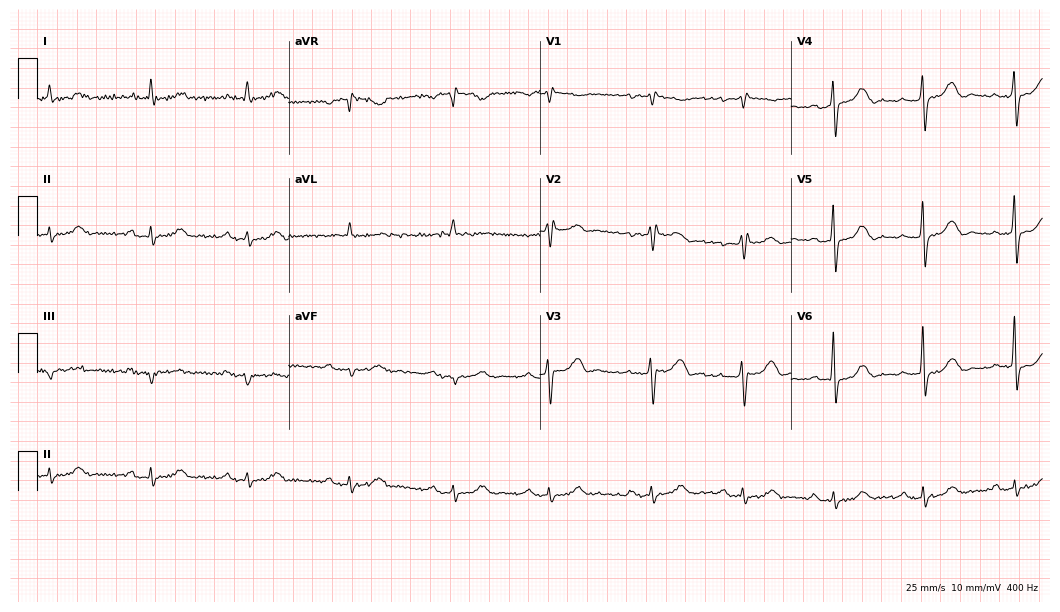
Electrocardiogram (10.2-second recording at 400 Hz), an 83-year-old male patient. Of the six screened findings (first-degree AV block, right bundle branch block (RBBB), left bundle branch block (LBBB), sinus bradycardia, atrial fibrillation (AF), sinus tachycardia), none is recorded. Only these six findings were labelled.